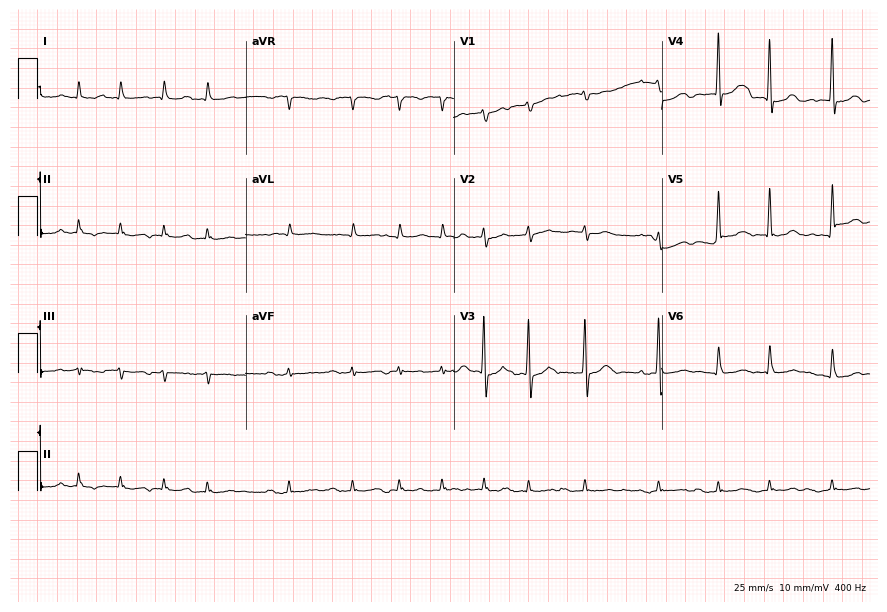
12-lead ECG from a male patient, 82 years old (8.5-second recording at 400 Hz). Shows atrial fibrillation (AF).